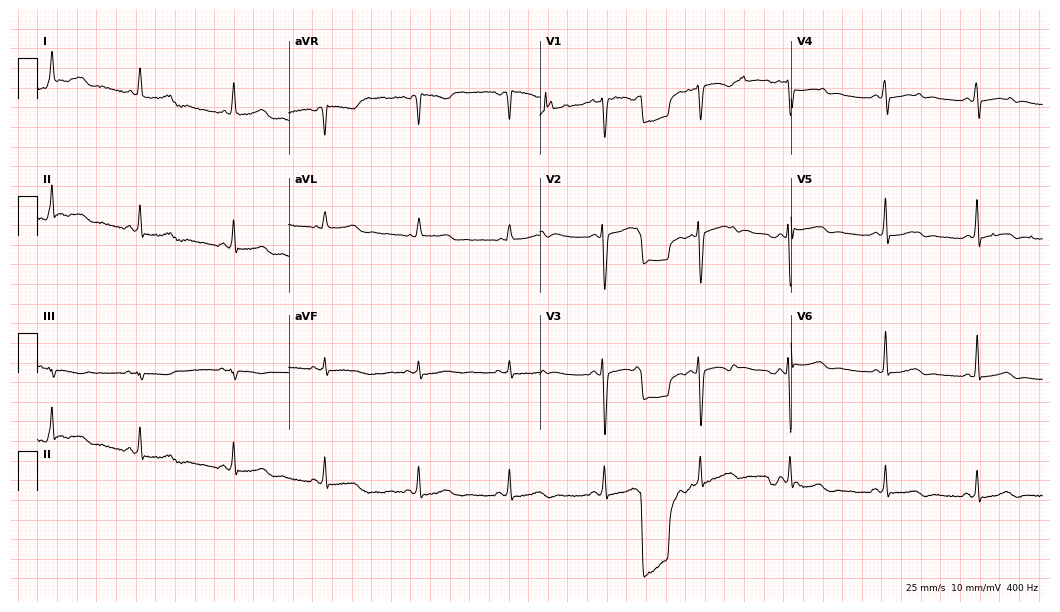
12-lead ECG from a 21-year-old woman (10.2-second recording at 400 Hz). No first-degree AV block, right bundle branch block, left bundle branch block, sinus bradycardia, atrial fibrillation or sinus tachycardia recorded for this tracing.